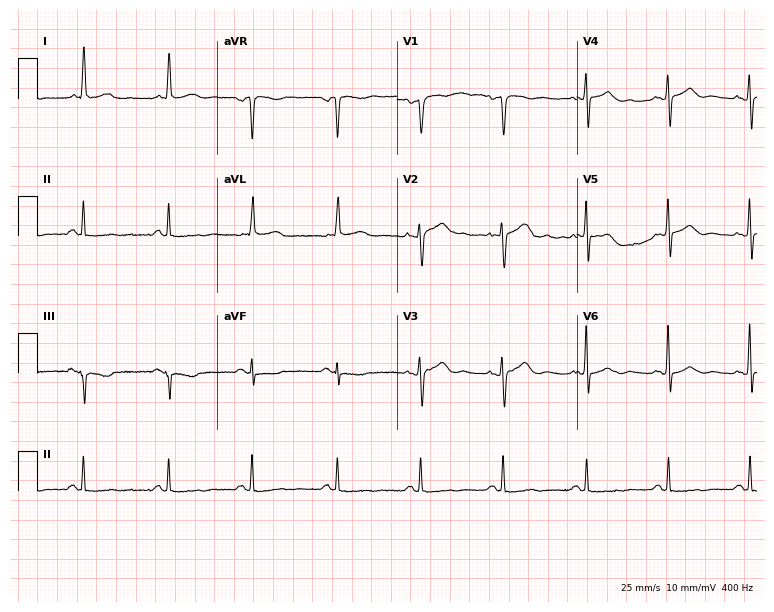
ECG — an 81-year-old woman. Screened for six findings — first-degree AV block, right bundle branch block (RBBB), left bundle branch block (LBBB), sinus bradycardia, atrial fibrillation (AF), sinus tachycardia — none is recorded.